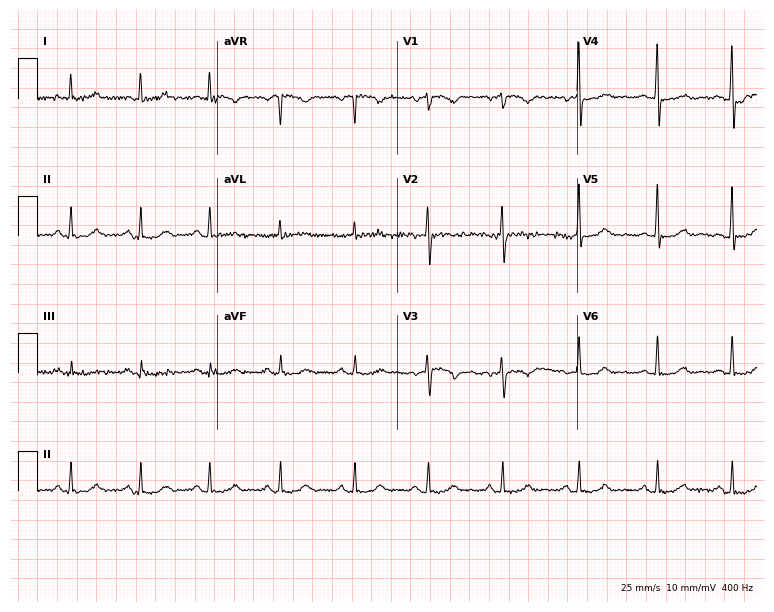
Electrocardiogram, a female patient, 54 years old. Of the six screened findings (first-degree AV block, right bundle branch block, left bundle branch block, sinus bradycardia, atrial fibrillation, sinus tachycardia), none is recorded.